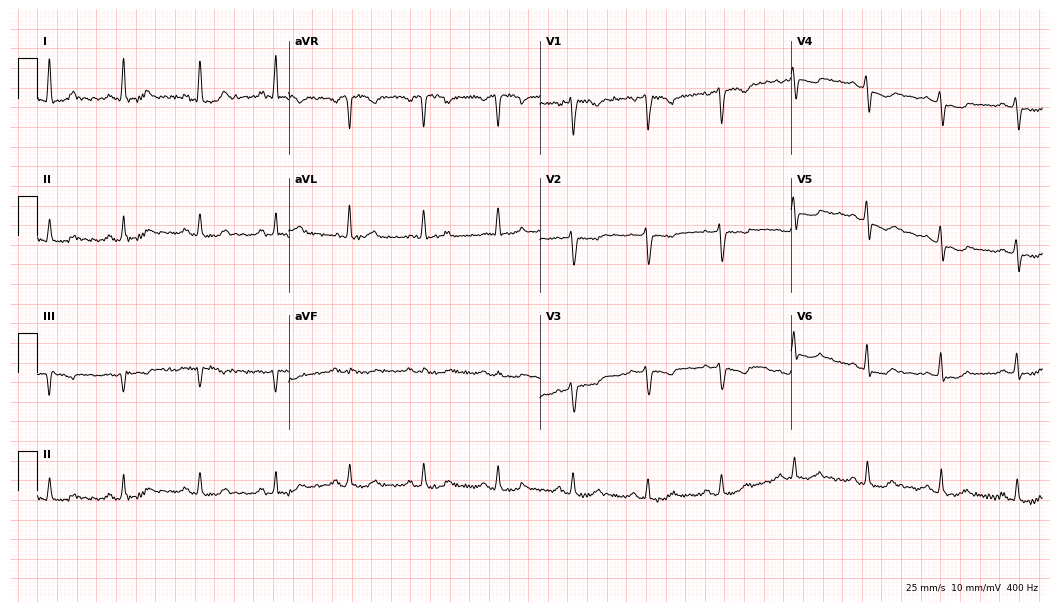
12-lead ECG (10.2-second recording at 400 Hz) from a 59-year-old woman. Labelled as a normal ECG.